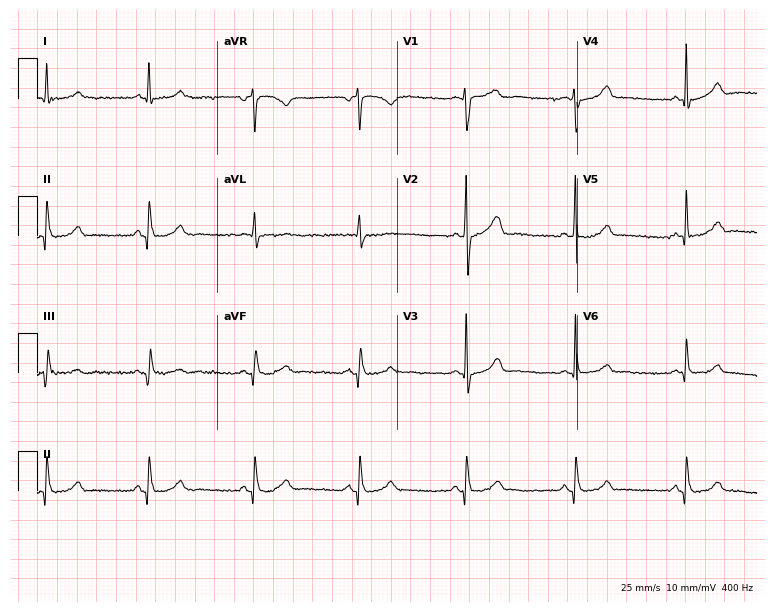
12-lead ECG from a 45-year-old male patient (7.3-second recording at 400 Hz). Recorded interpretation: within normal limits.